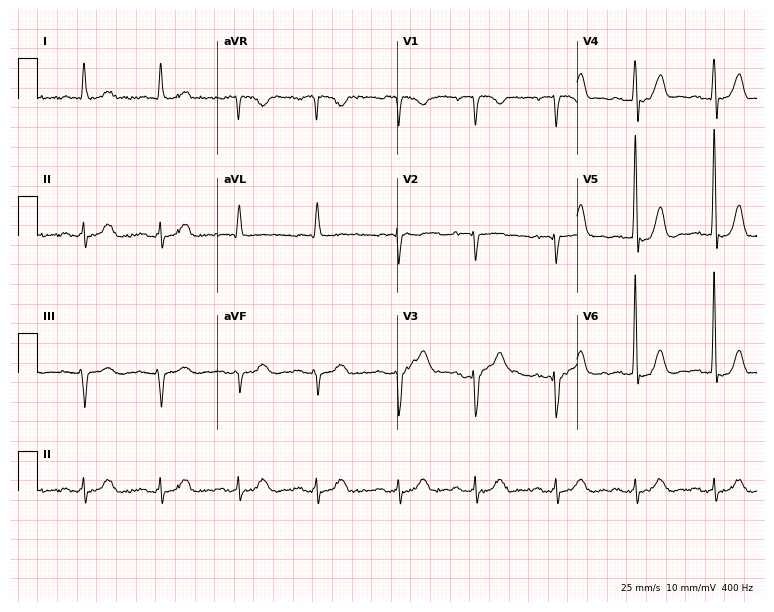
Resting 12-lead electrocardiogram. Patient: a 78-year-old man. None of these six findings is recorded: first-degree AV block, right bundle branch block, left bundle branch block, sinus bradycardia, atrial fibrillation, sinus tachycardia. Other findings, if any, are not listed.